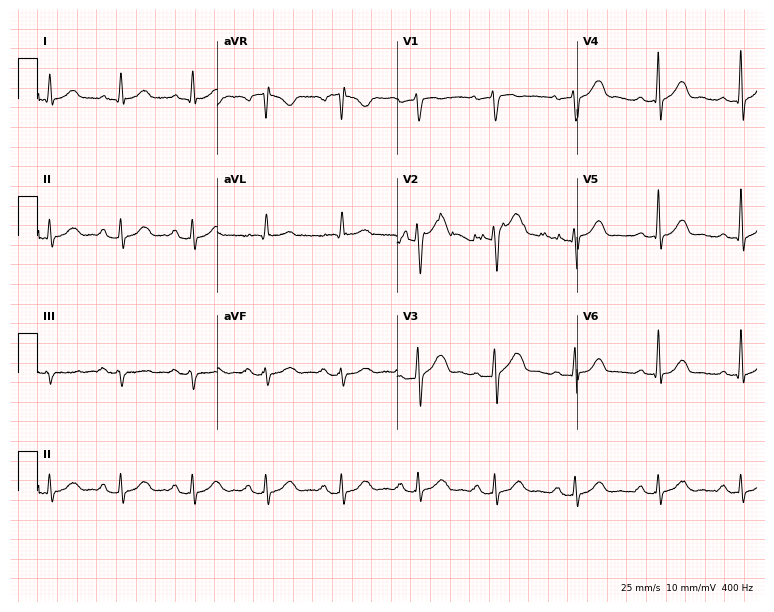
Resting 12-lead electrocardiogram. Patient: a male, 41 years old. None of these six findings is recorded: first-degree AV block, right bundle branch block (RBBB), left bundle branch block (LBBB), sinus bradycardia, atrial fibrillation (AF), sinus tachycardia. Only these six findings were labelled.